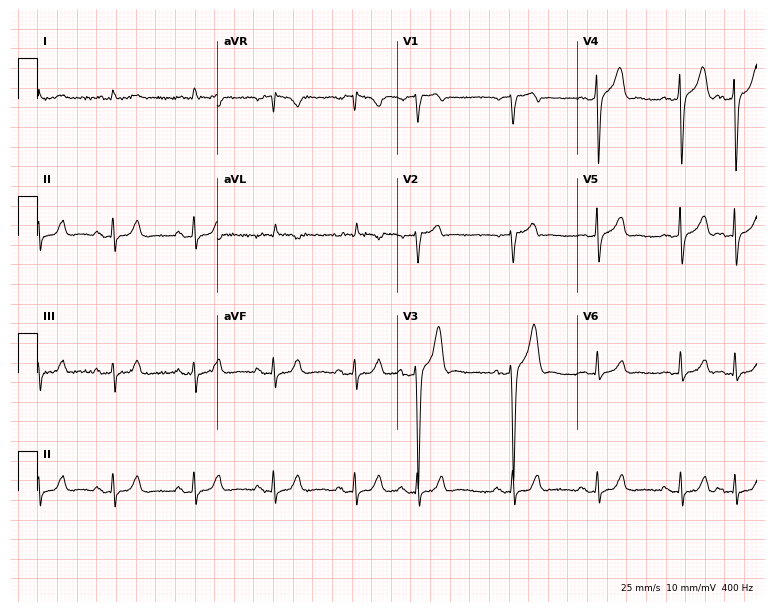
Standard 12-lead ECG recorded from a 78-year-old male. None of these six findings is recorded: first-degree AV block, right bundle branch block, left bundle branch block, sinus bradycardia, atrial fibrillation, sinus tachycardia. Findings outside these six are not listed.